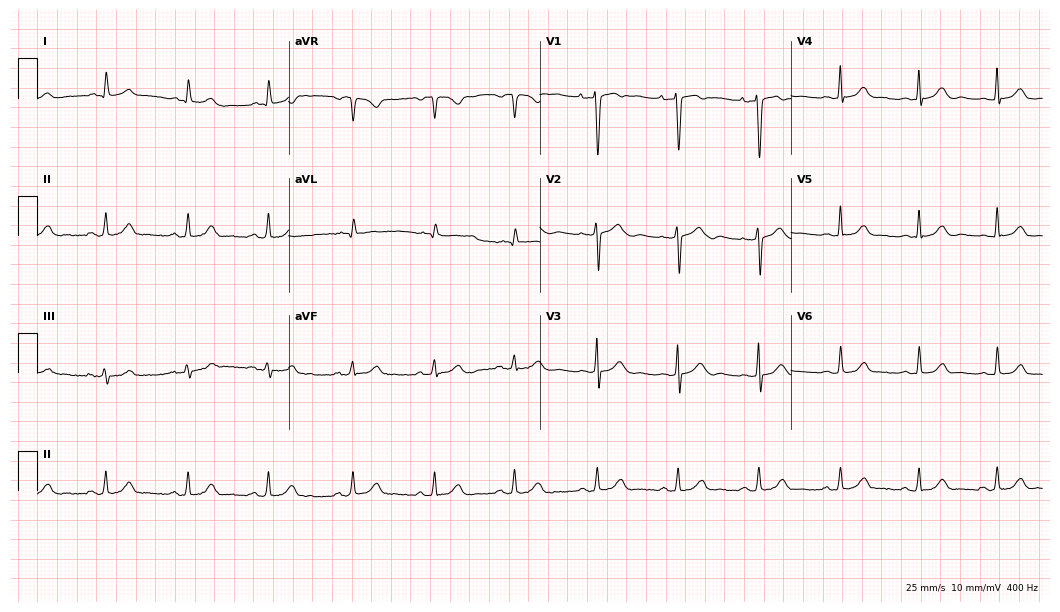
Electrocardiogram, a female, 37 years old. Overall reading on record: normal ECG.